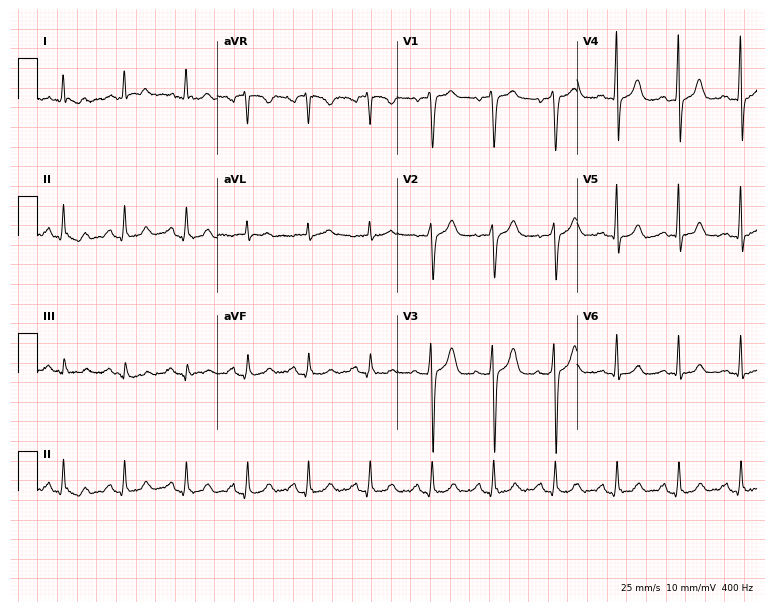
Resting 12-lead electrocardiogram (7.3-second recording at 400 Hz). Patient: a 44-year-old man. None of these six findings is recorded: first-degree AV block, right bundle branch block, left bundle branch block, sinus bradycardia, atrial fibrillation, sinus tachycardia.